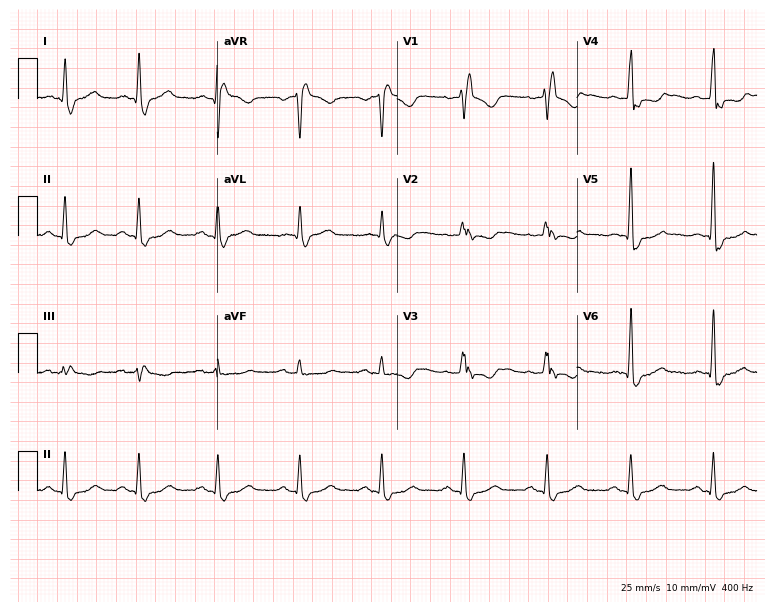
Electrocardiogram, a female patient, 59 years old. Of the six screened findings (first-degree AV block, right bundle branch block, left bundle branch block, sinus bradycardia, atrial fibrillation, sinus tachycardia), none is recorded.